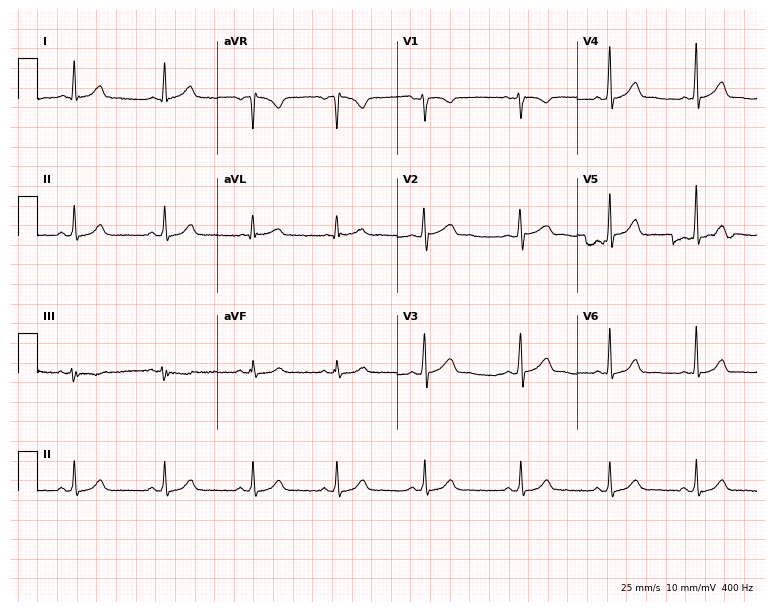
Electrocardiogram (7.3-second recording at 400 Hz), a female patient, 22 years old. Overall reading on record: normal ECG.